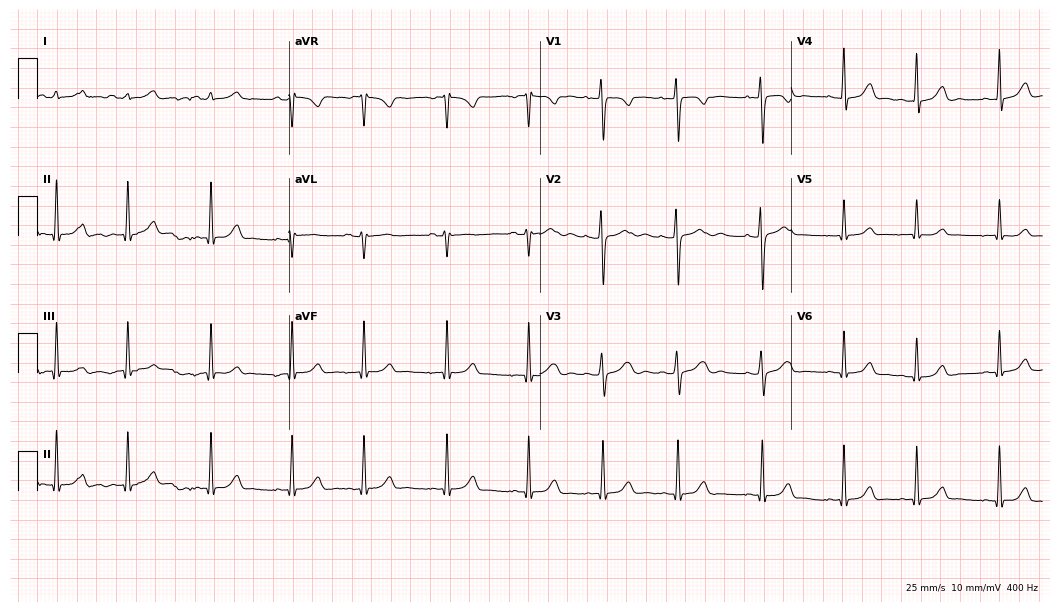
Resting 12-lead electrocardiogram. Patient: a woman, 18 years old. None of these six findings is recorded: first-degree AV block, right bundle branch block, left bundle branch block, sinus bradycardia, atrial fibrillation, sinus tachycardia. Only these six findings were labelled.